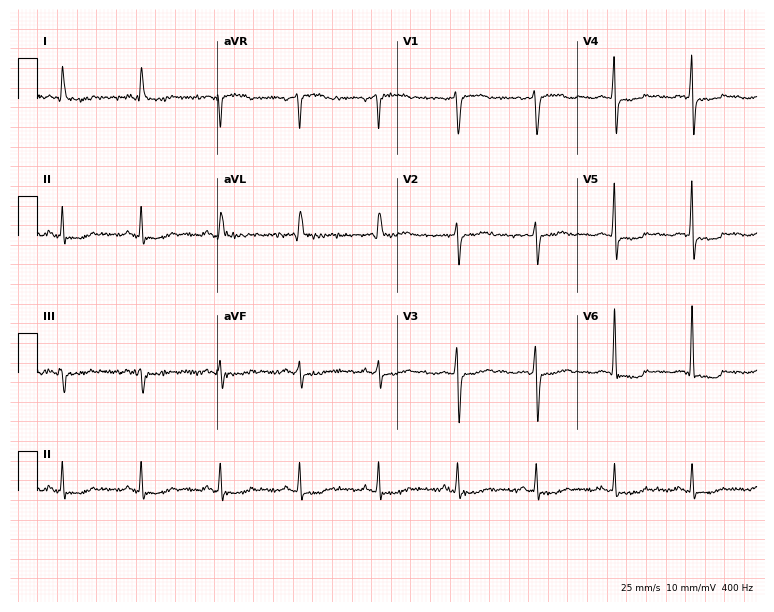
Standard 12-lead ECG recorded from a male patient, 80 years old. None of these six findings is recorded: first-degree AV block, right bundle branch block, left bundle branch block, sinus bradycardia, atrial fibrillation, sinus tachycardia.